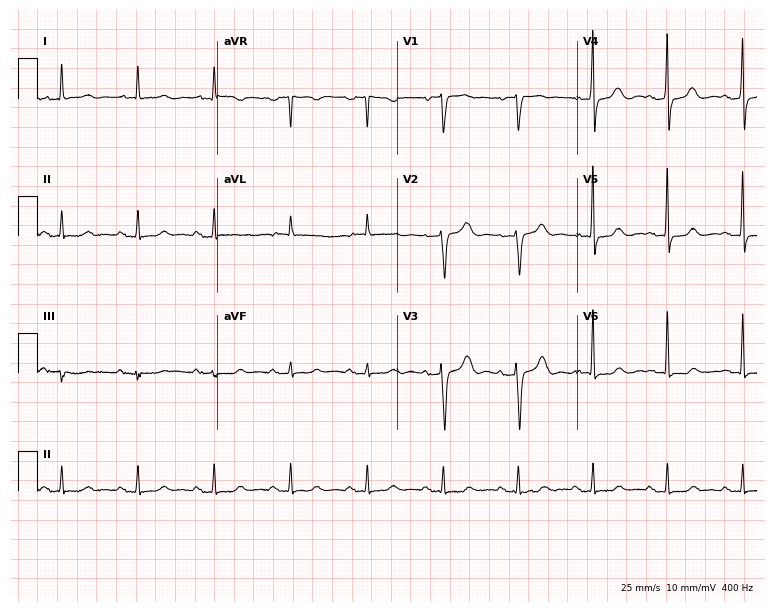
Resting 12-lead electrocardiogram. Patient: an 85-year-old male. Read as a normal ECG.